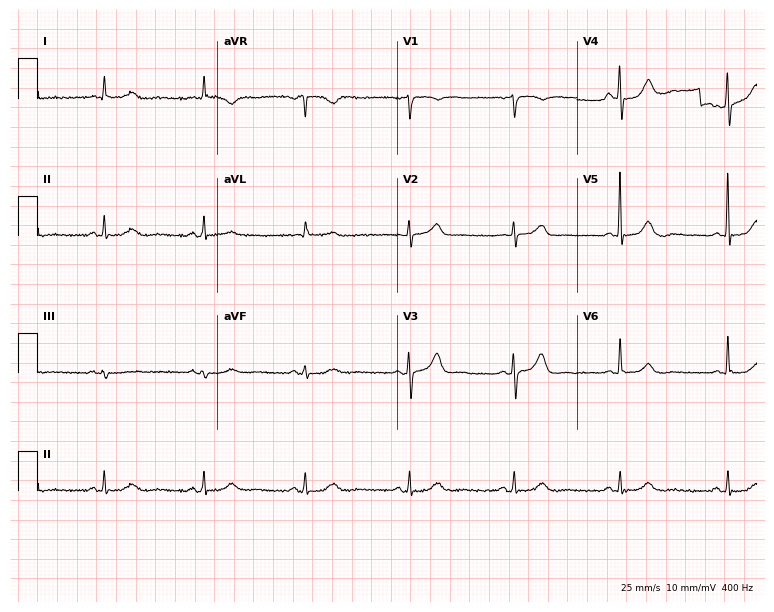
Standard 12-lead ECG recorded from a female, 77 years old (7.3-second recording at 400 Hz). Read as a normal ECG.